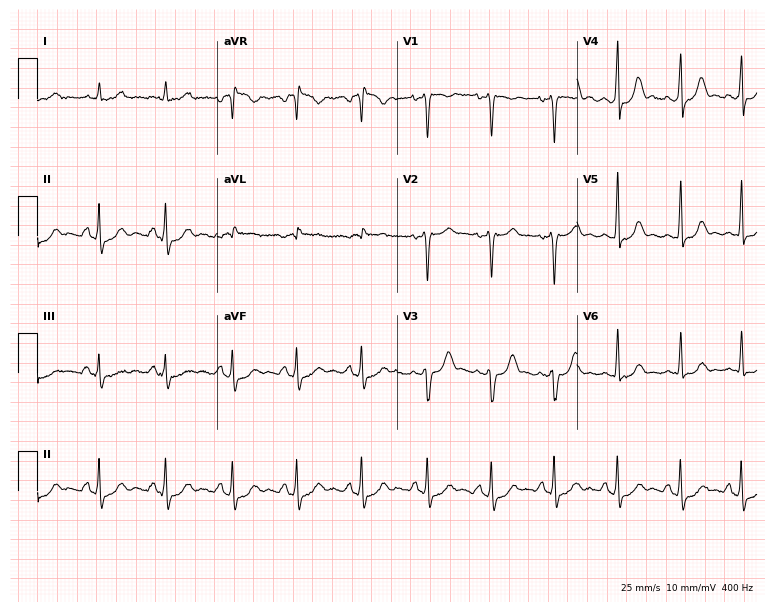
Resting 12-lead electrocardiogram (7.3-second recording at 400 Hz). Patient: a 29-year-old male. None of these six findings is recorded: first-degree AV block, right bundle branch block (RBBB), left bundle branch block (LBBB), sinus bradycardia, atrial fibrillation (AF), sinus tachycardia. Other findings, if any, are not listed.